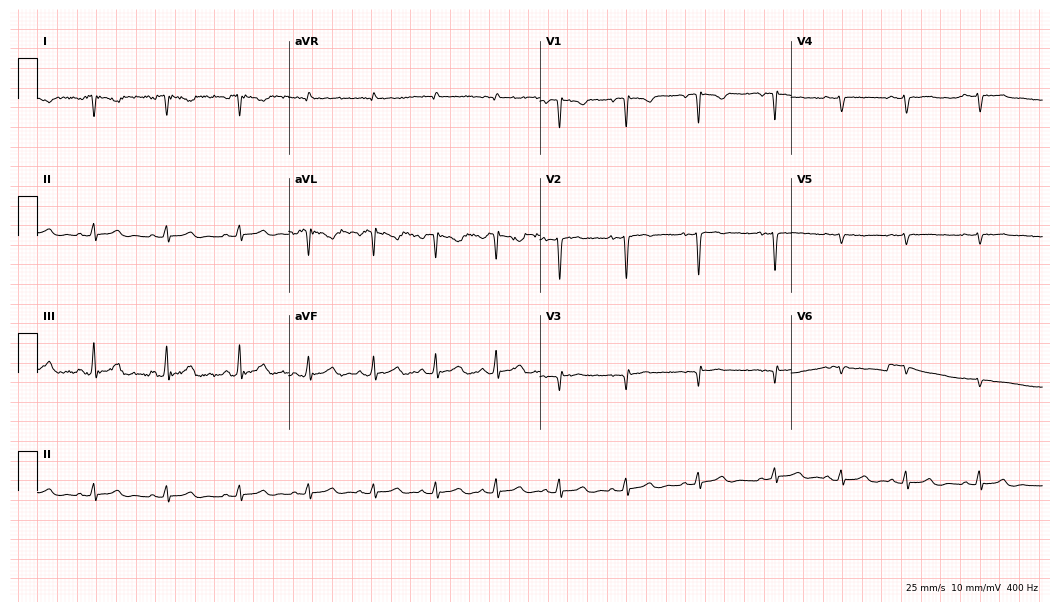
Resting 12-lead electrocardiogram. Patient: a female, 20 years old. None of these six findings is recorded: first-degree AV block, right bundle branch block, left bundle branch block, sinus bradycardia, atrial fibrillation, sinus tachycardia. Only these six findings were labelled.